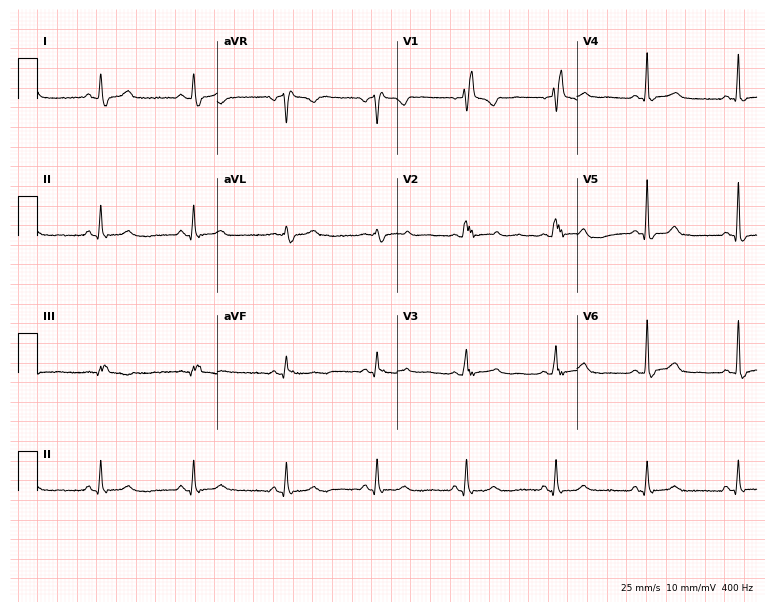
12-lead ECG (7.3-second recording at 400 Hz) from a female patient, 46 years old. Findings include right bundle branch block.